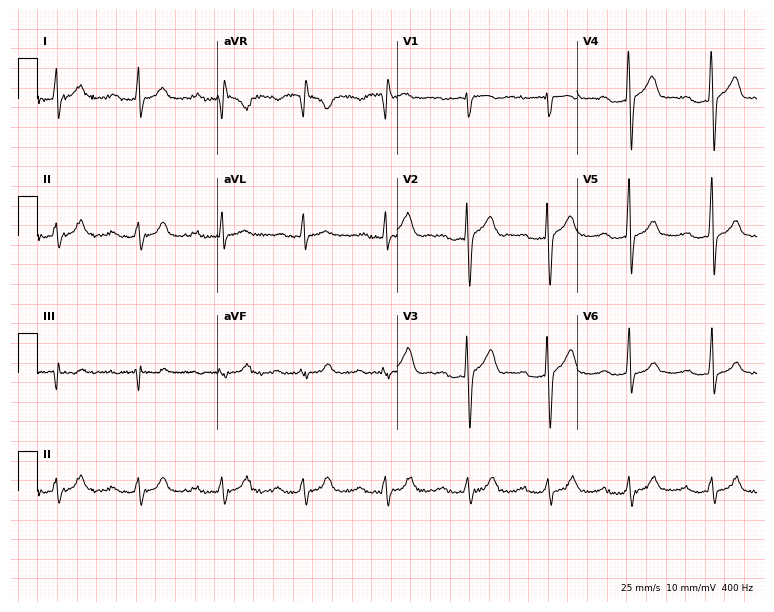
12-lead ECG from a male, 20 years old. Shows first-degree AV block.